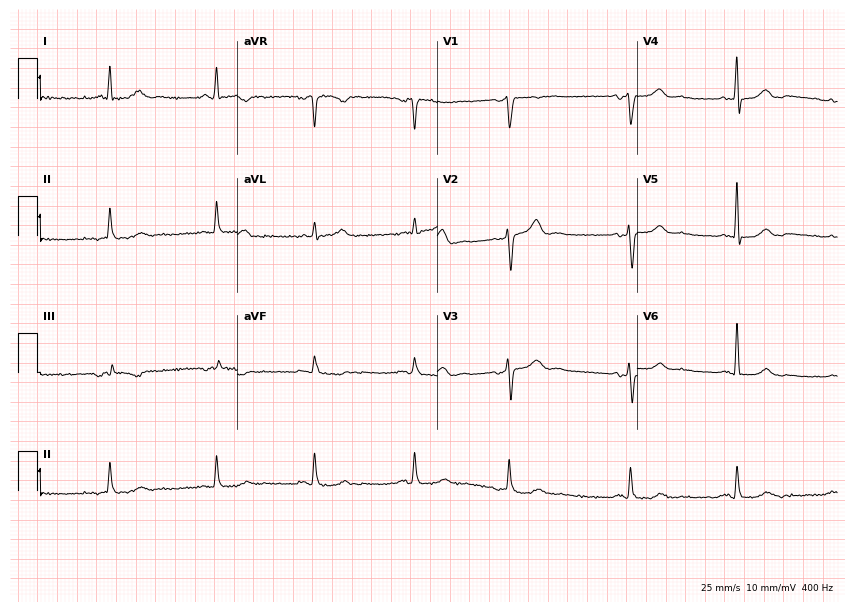
12-lead ECG from a 60-year-old man. No first-degree AV block, right bundle branch block, left bundle branch block, sinus bradycardia, atrial fibrillation or sinus tachycardia recorded for this tracing. Findings outside these six are not listed.